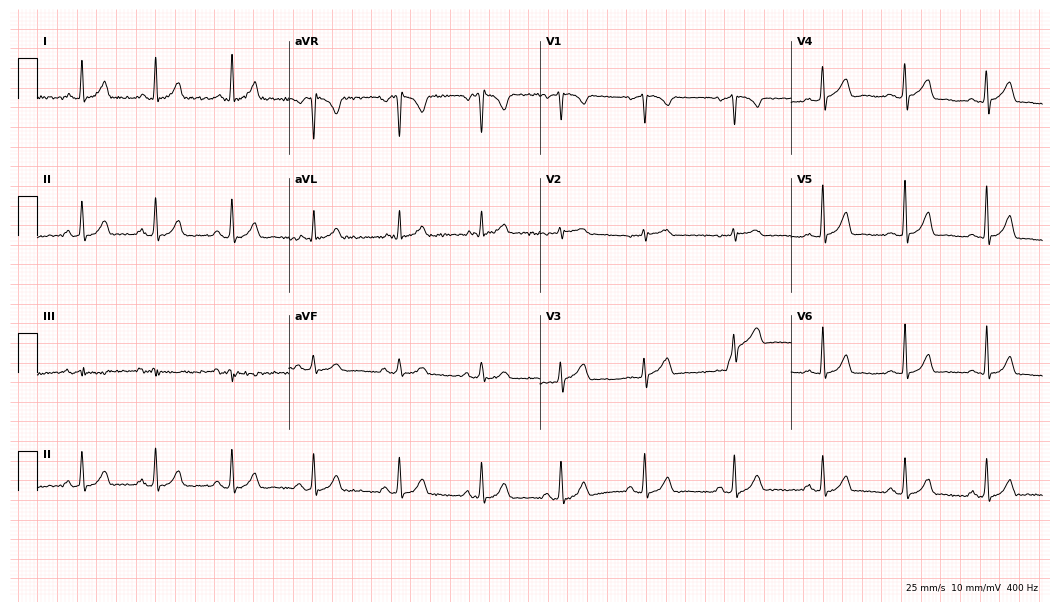
12-lead ECG from a 33-year-old female patient. No first-degree AV block, right bundle branch block, left bundle branch block, sinus bradycardia, atrial fibrillation or sinus tachycardia recorded for this tracing.